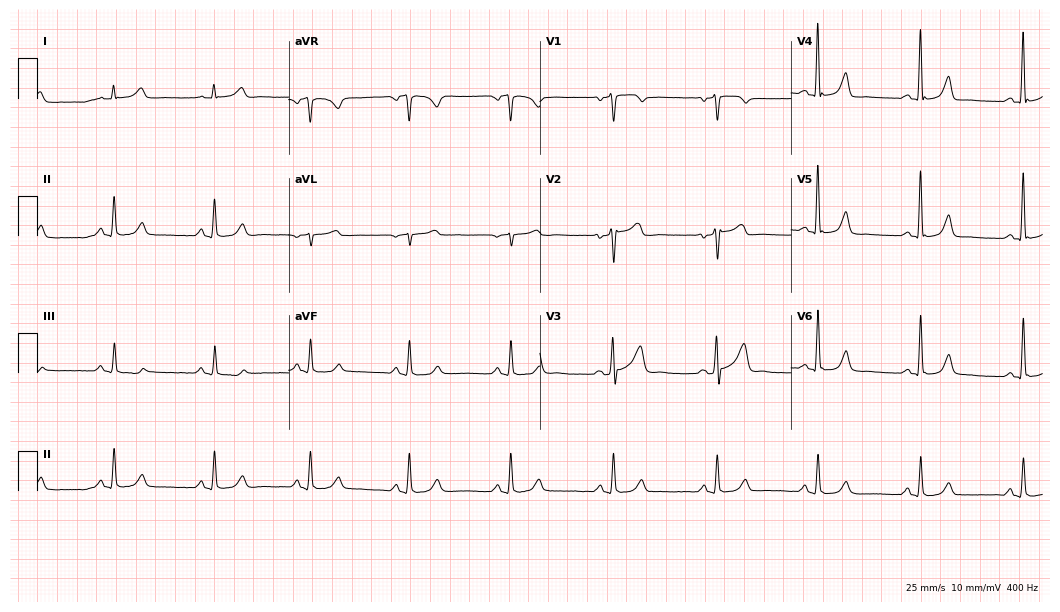
Standard 12-lead ECG recorded from a male, 46 years old (10.2-second recording at 400 Hz). Read as a normal ECG.